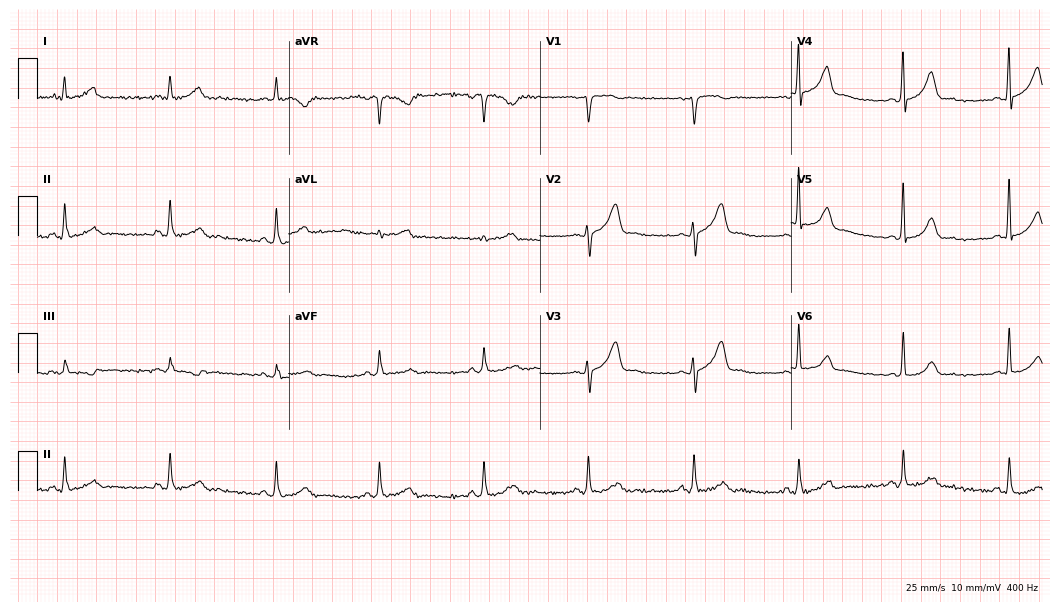
12-lead ECG from a man, 59 years old. Recorded interpretation: within normal limits.